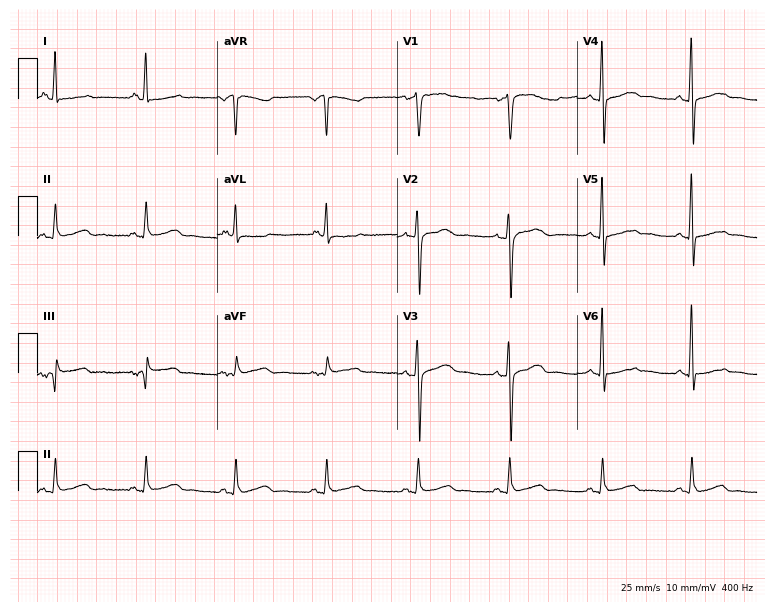
ECG (7.3-second recording at 400 Hz) — a woman, 51 years old. Labelled as a normal ECG.